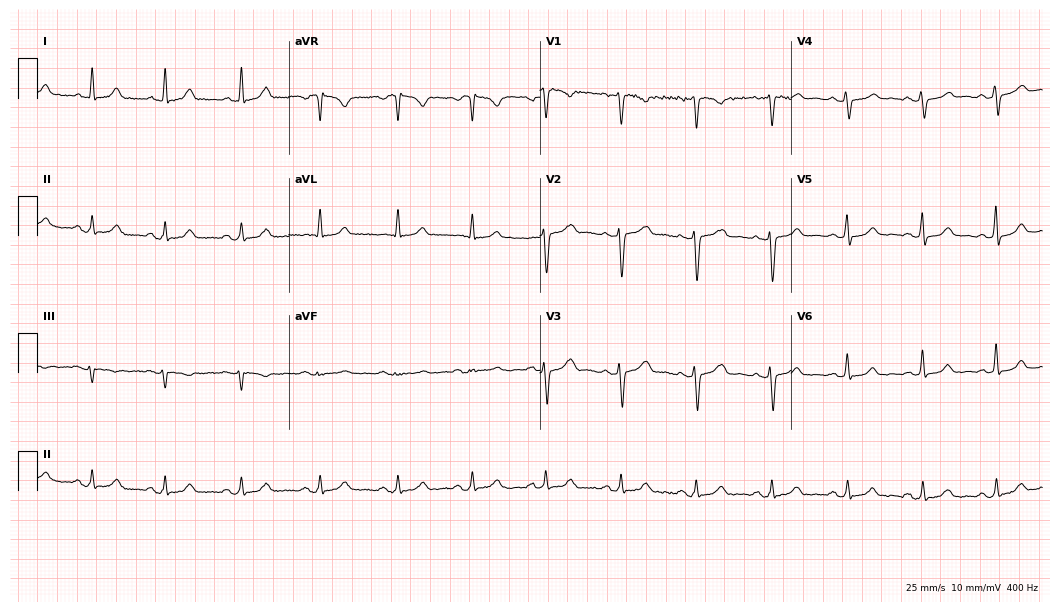
ECG (10.2-second recording at 400 Hz) — a female patient, 50 years old. Labelled as a normal ECG.